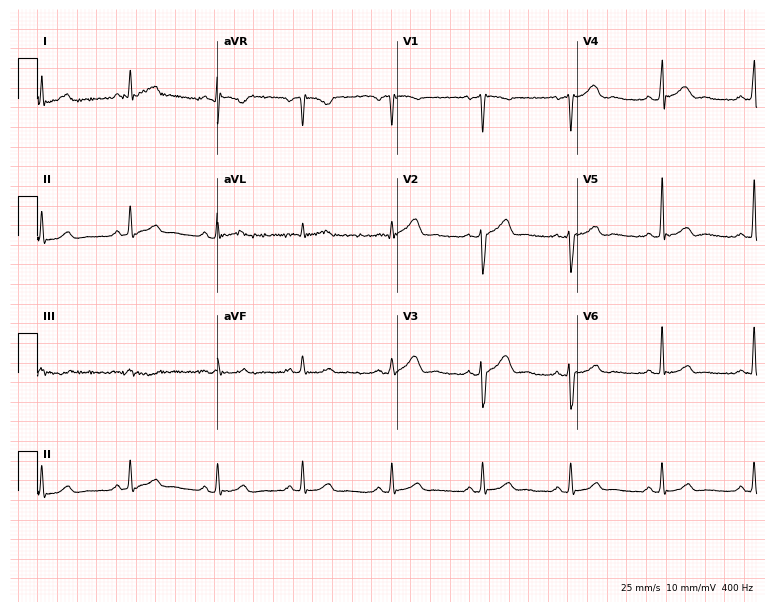
Standard 12-lead ECG recorded from a man, 33 years old (7.3-second recording at 400 Hz). None of these six findings is recorded: first-degree AV block, right bundle branch block (RBBB), left bundle branch block (LBBB), sinus bradycardia, atrial fibrillation (AF), sinus tachycardia.